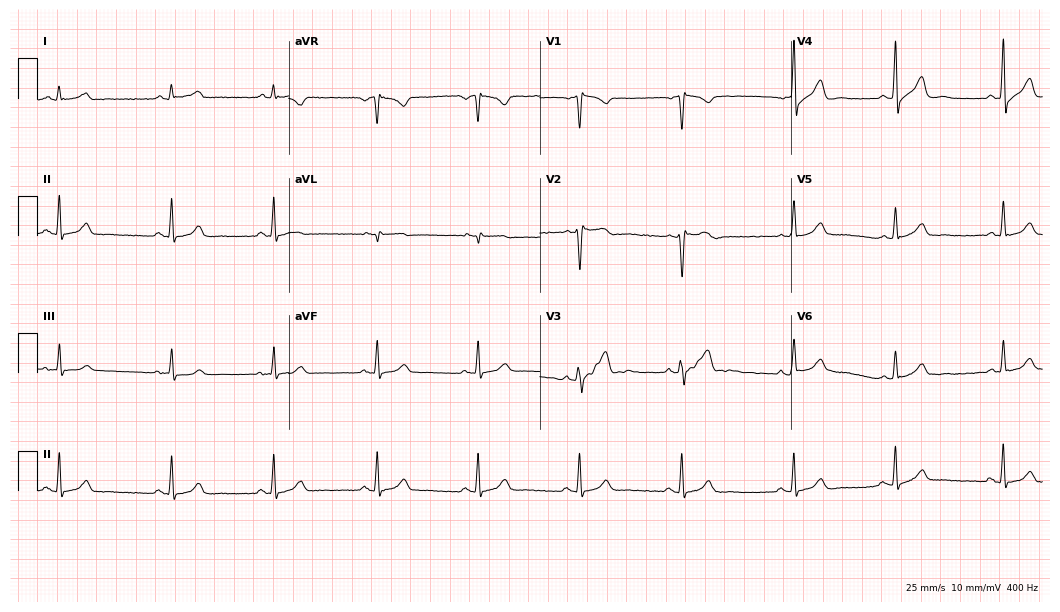
ECG — a man, 38 years old. Labelled as a normal ECG.